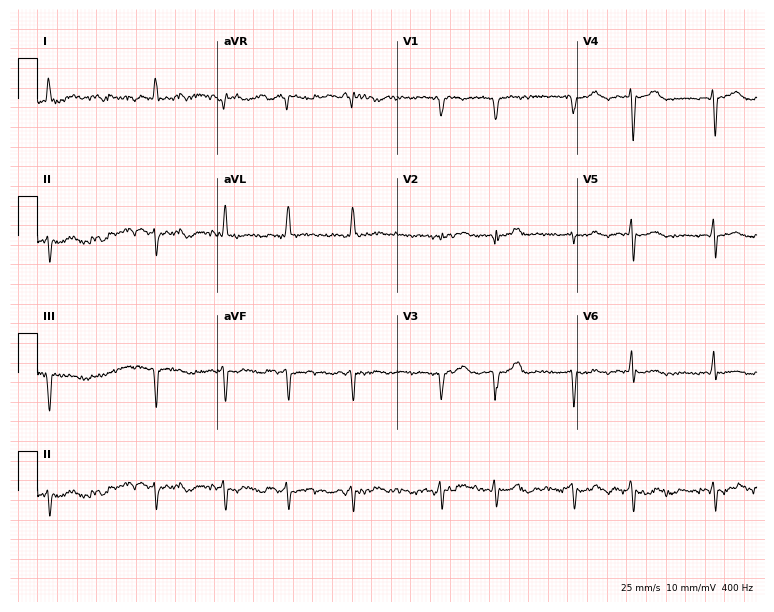
12-lead ECG (7.3-second recording at 400 Hz) from a female patient, 78 years old. Findings include atrial fibrillation.